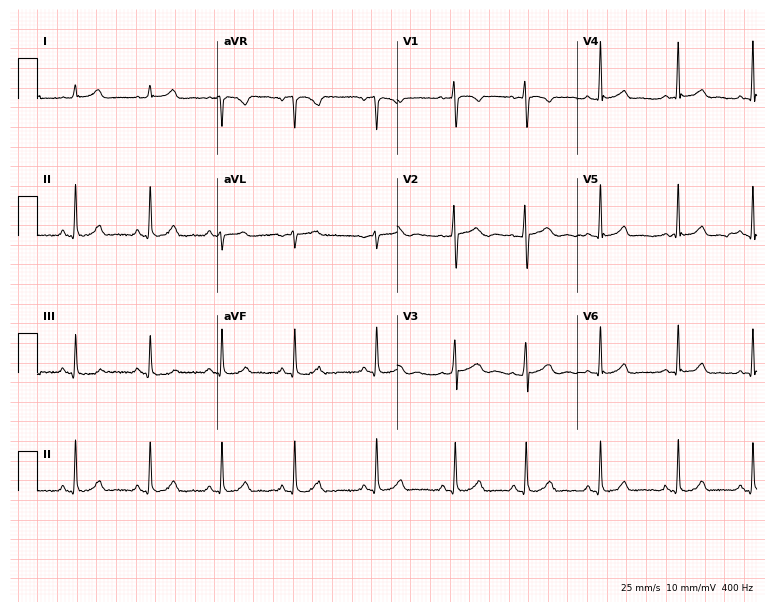
Electrocardiogram, a 19-year-old female. Overall reading on record: normal ECG.